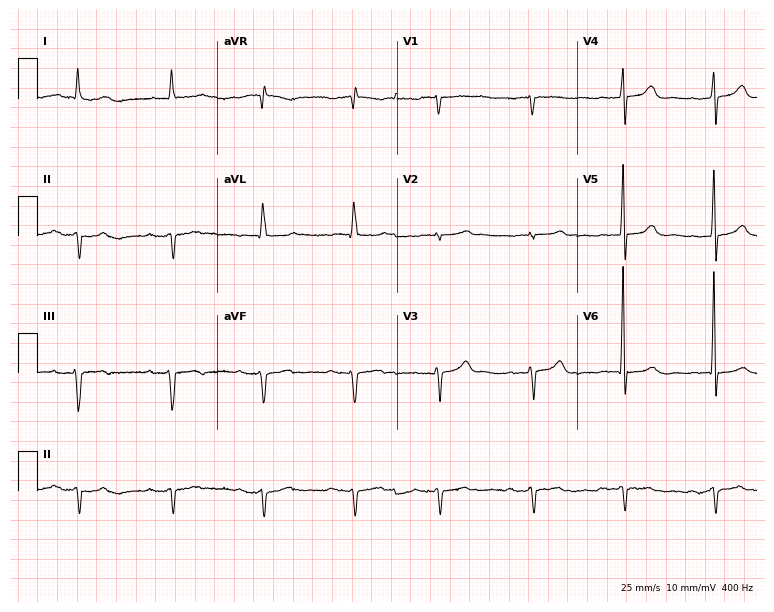
Electrocardiogram, an 83-year-old male patient. Interpretation includes first-degree AV block.